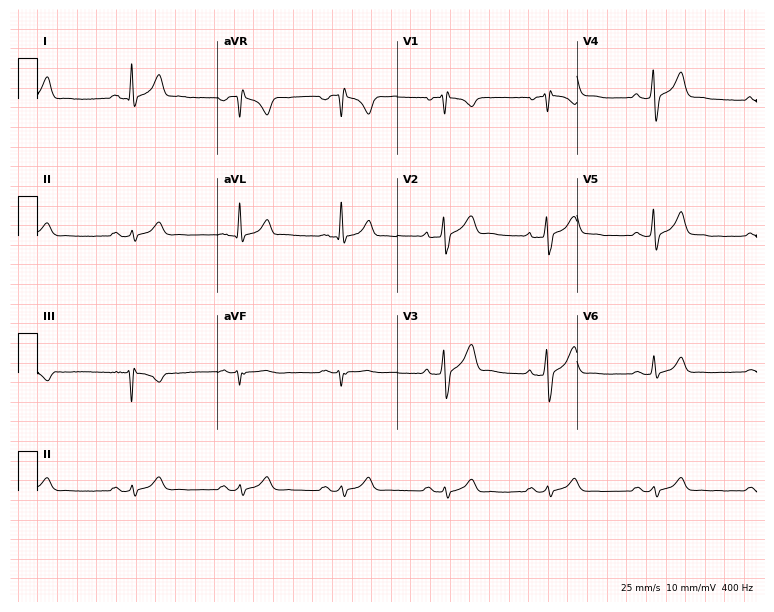
12-lead ECG from a 35-year-old male patient. No first-degree AV block, right bundle branch block (RBBB), left bundle branch block (LBBB), sinus bradycardia, atrial fibrillation (AF) or sinus tachycardia recorded for this tracing.